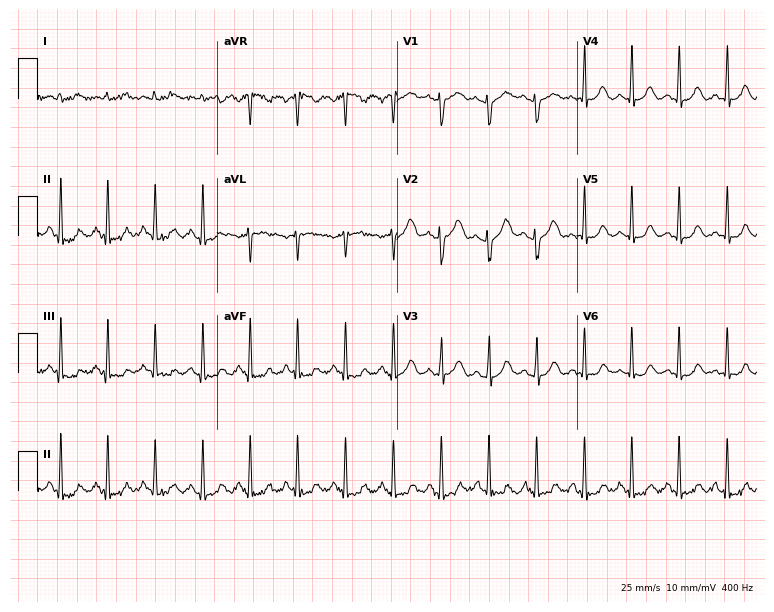
Standard 12-lead ECG recorded from a female patient, 28 years old (7.3-second recording at 400 Hz). The tracing shows sinus tachycardia (a sinus rate of 100 beats per minute or more).